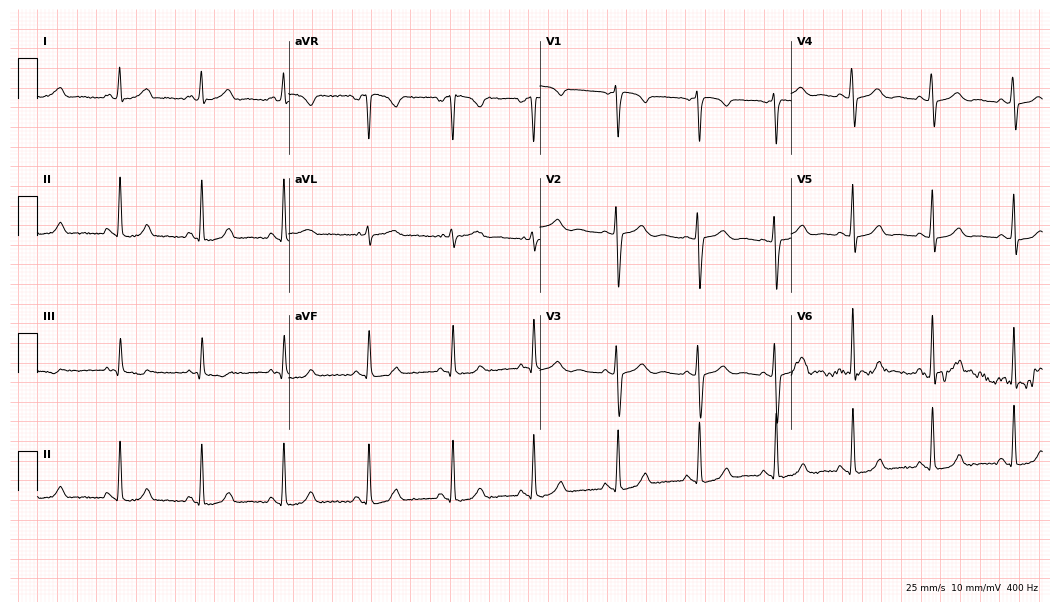
12-lead ECG from a 24-year-old female (10.2-second recording at 400 Hz). Recorded interpretation: within normal limits.